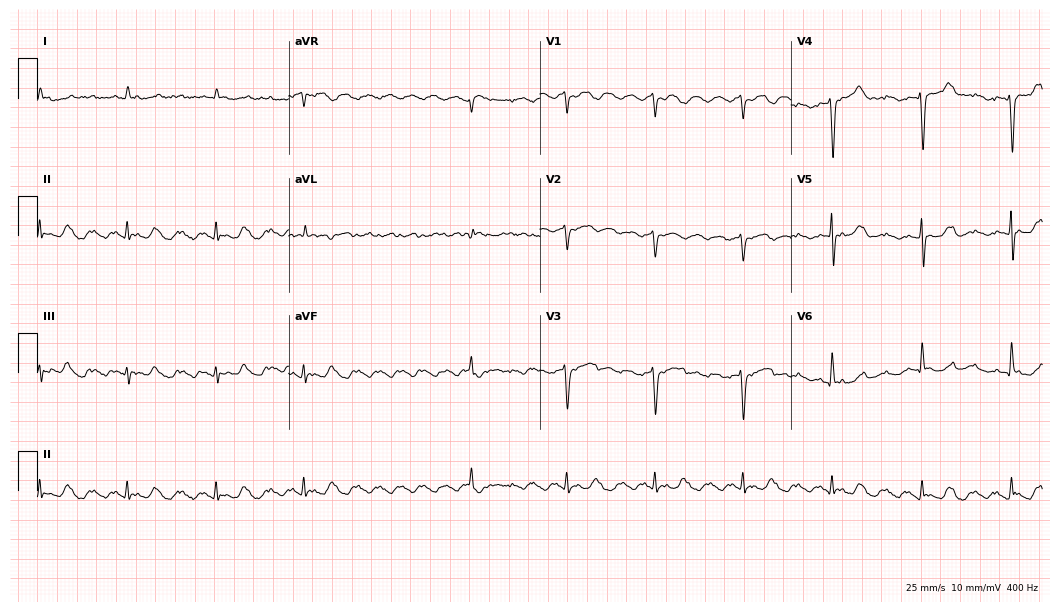
ECG (10.2-second recording at 400 Hz) — a 79-year-old man. Screened for six findings — first-degree AV block, right bundle branch block, left bundle branch block, sinus bradycardia, atrial fibrillation, sinus tachycardia — none is recorded.